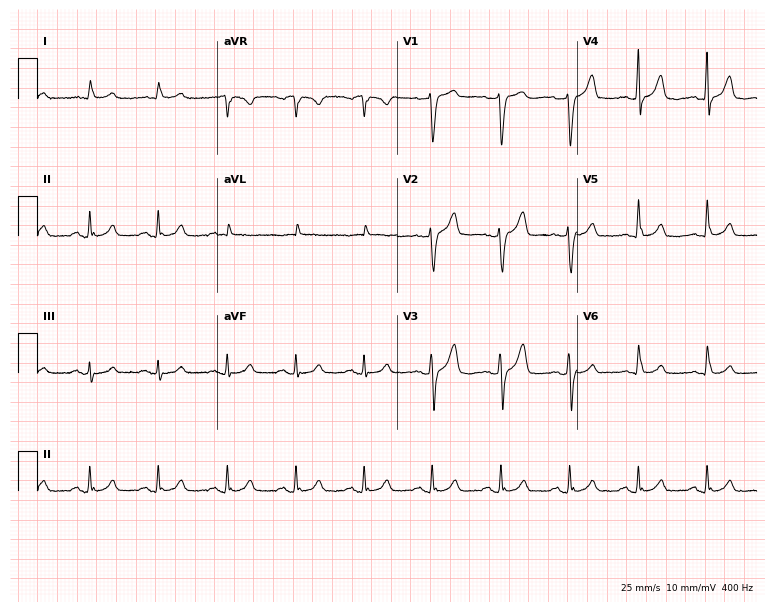
Standard 12-lead ECG recorded from a 64-year-old man. Read as a normal ECG.